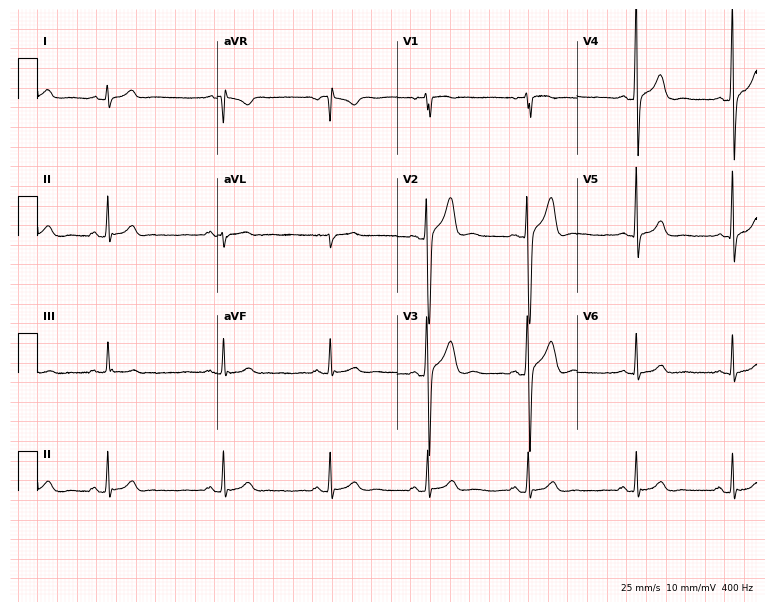
12-lead ECG from a male patient, 30 years old. Recorded interpretation: within normal limits.